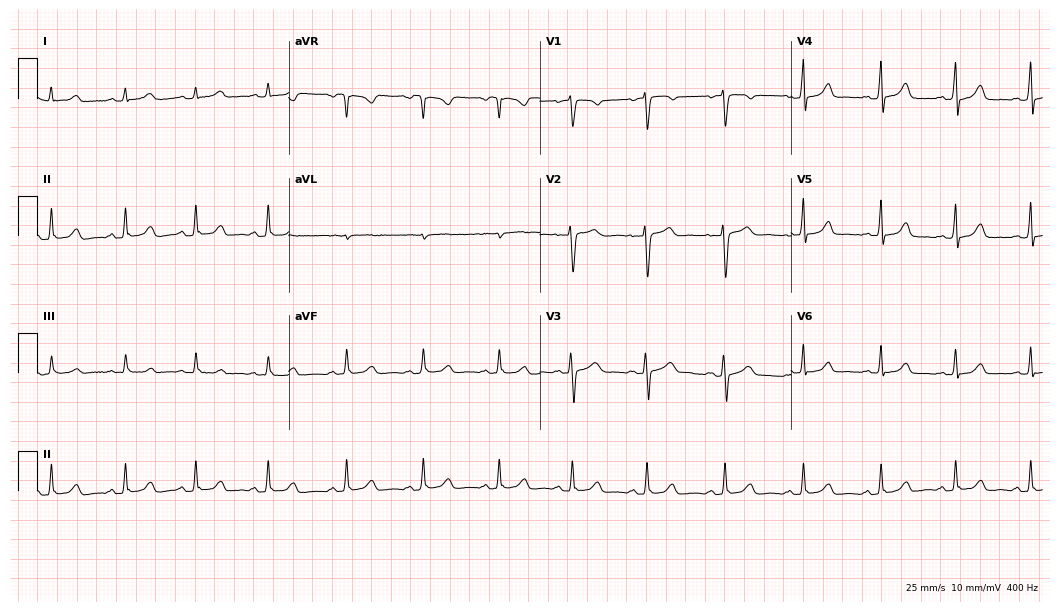
12-lead ECG from a 26-year-old female patient. Labelled as a normal ECG.